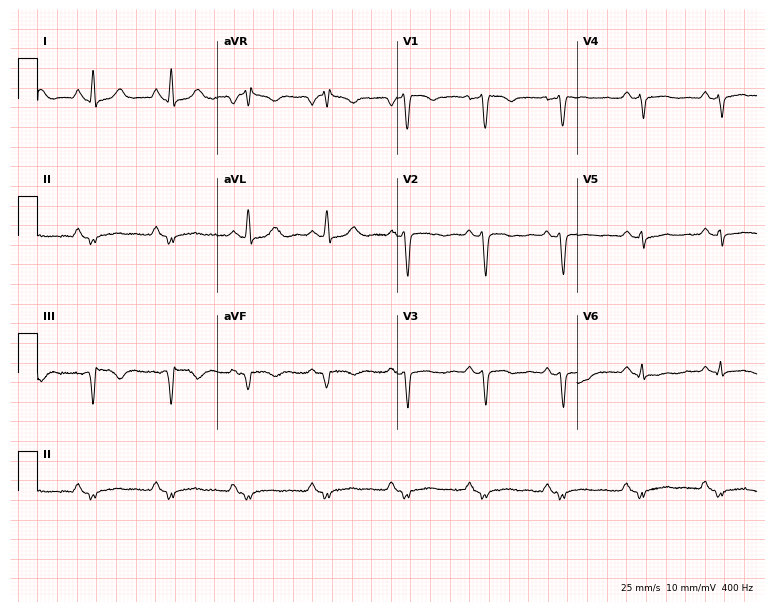
Electrocardiogram, a 36-year-old woman. Of the six screened findings (first-degree AV block, right bundle branch block, left bundle branch block, sinus bradycardia, atrial fibrillation, sinus tachycardia), none is recorded. Only these six findings were labelled.